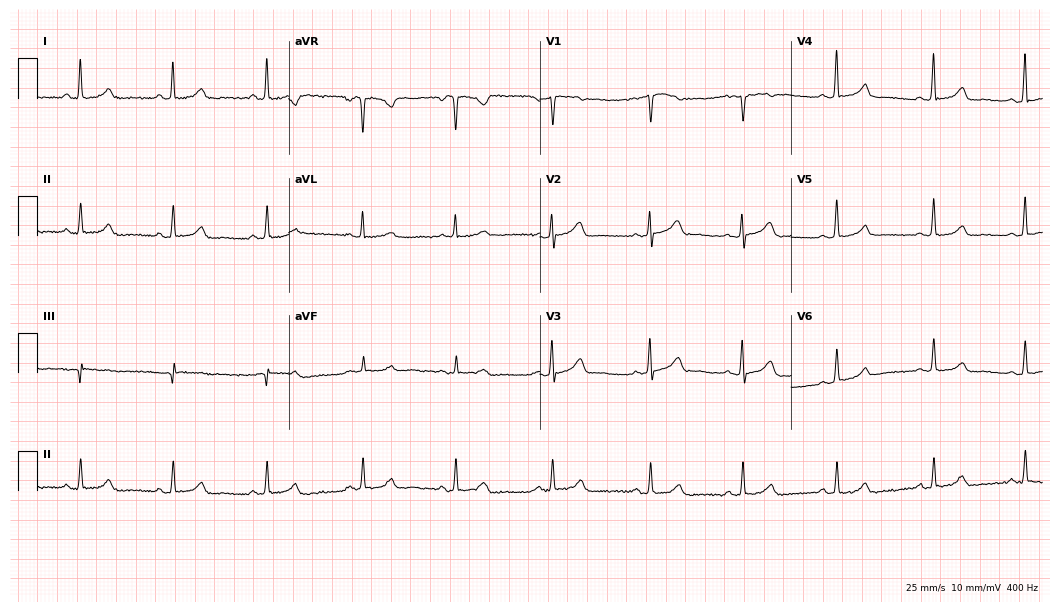
12-lead ECG (10.2-second recording at 400 Hz) from a female, 49 years old. Screened for six findings — first-degree AV block, right bundle branch block, left bundle branch block, sinus bradycardia, atrial fibrillation, sinus tachycardia — none is recorded.